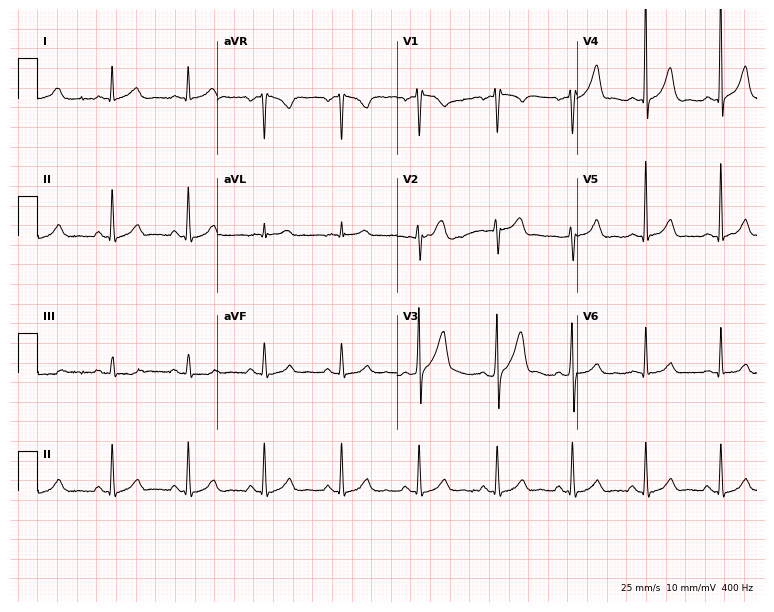
12-lead ECG from a male, 39 years old (7.3-second recording at 400 Hz). Recorded interpretation: within normal limits.